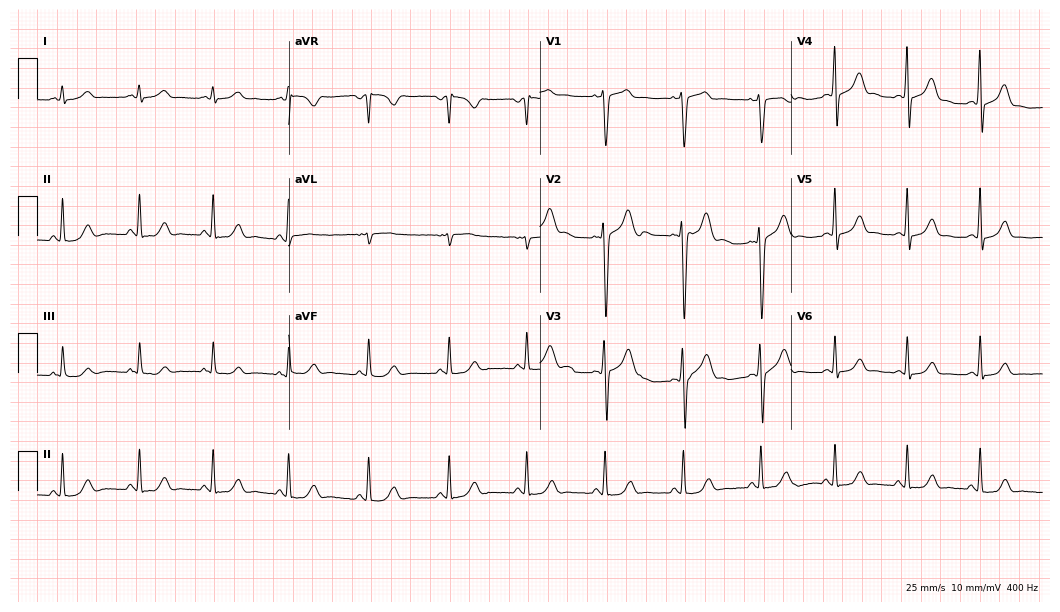
Standard 12-lead ECG recorded from a 29-year-old man (10.2-second recording at 400 Hz). Read as a normal ECG.